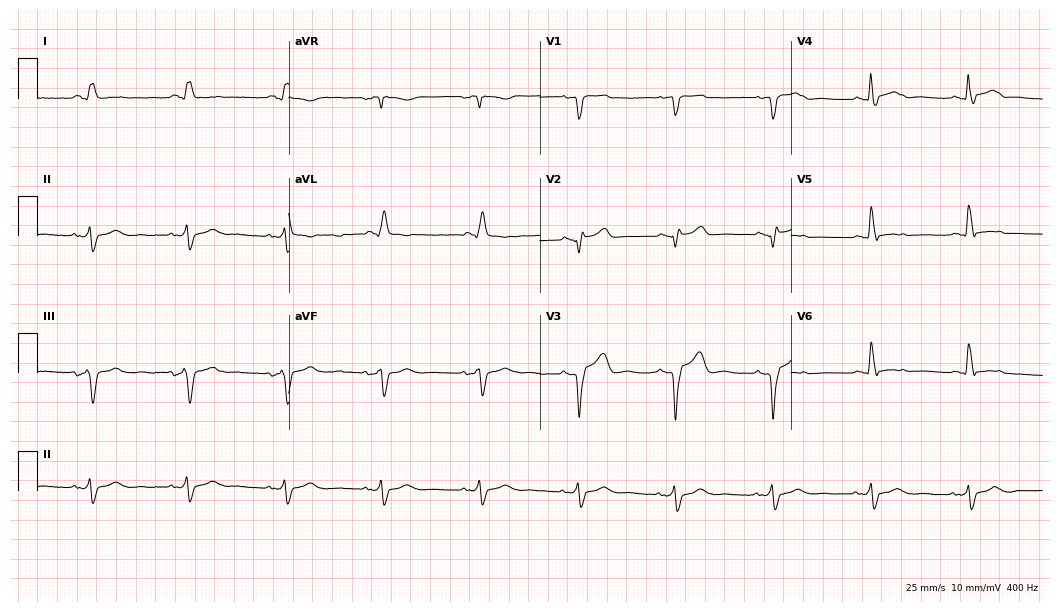
Resting 12-lead electrocardiogram (10.2-second recording at 400 Hz). Patient: a 59-year-old male. None of these six findings is recorded: first-degree AV block, right bundle branch block, left bundle branch block, sinus bradycardia, atrial fibrillation, sinus tachycardia.